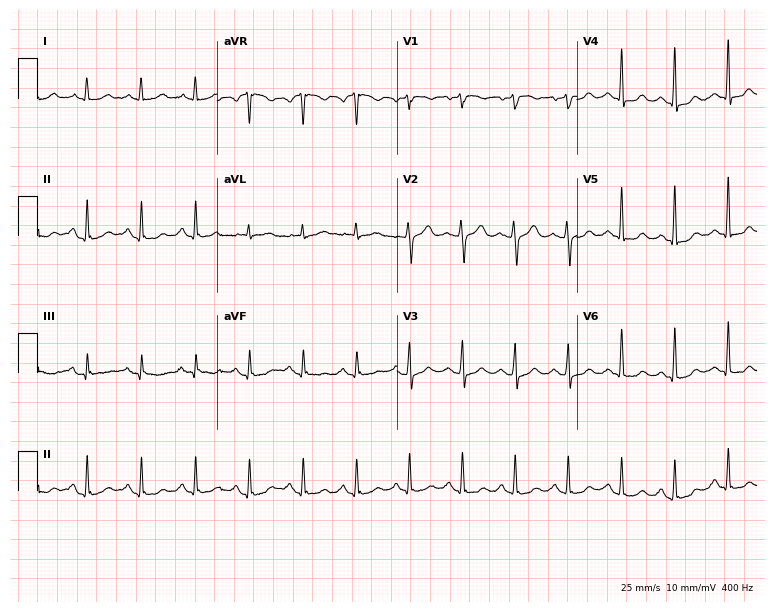
Electrocardiogram (7.3-second recording at 400 Hz), a 67-year-old female. Interpretation includes sinus tachycardia (a sinus rate of 100 beats per minute or more).